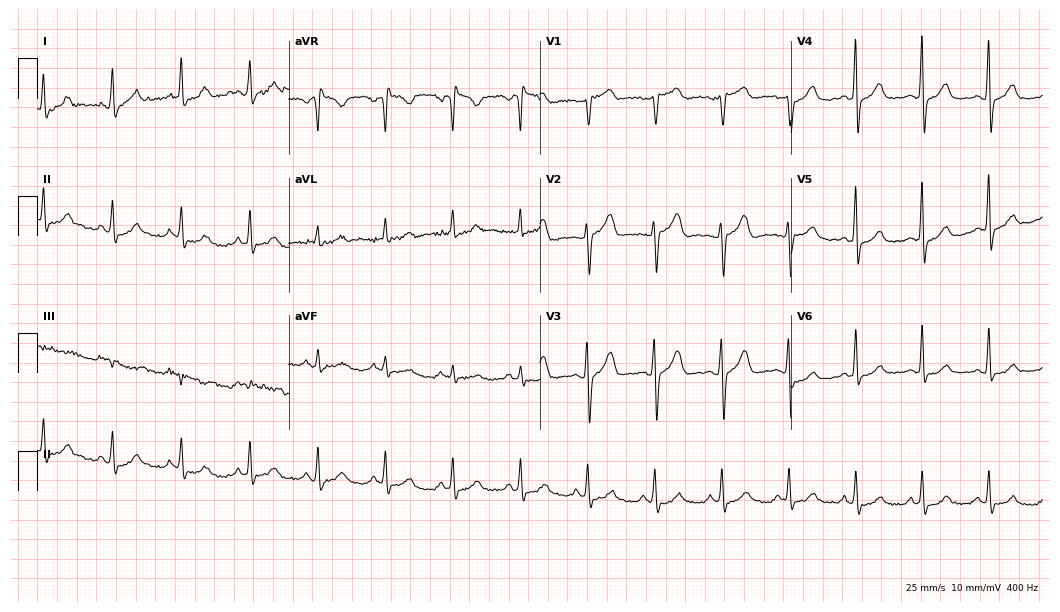
Standard 12-lead ECG recorded from a female patient, 64 years old. Read as a normal ECG.